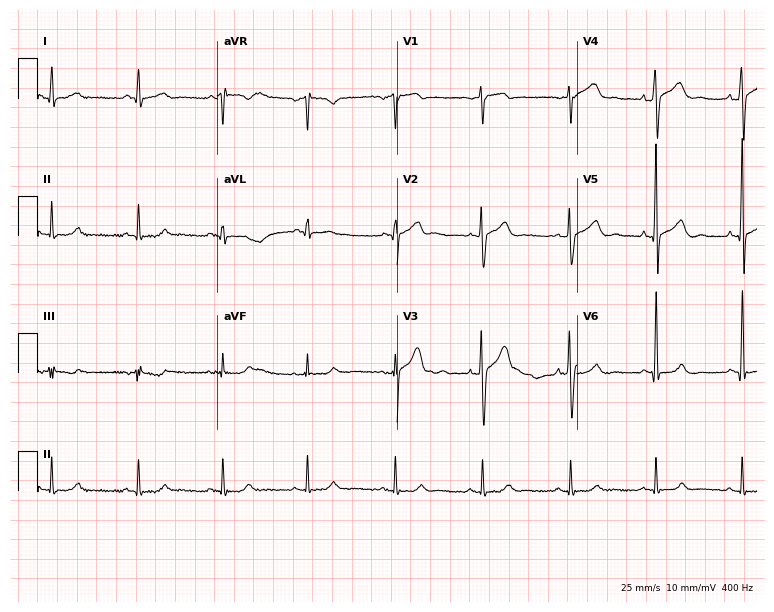
12-lead ECG (7.3-second recording at 400 Hz) from a man, 45 years old. Labelled as a normal ECG.